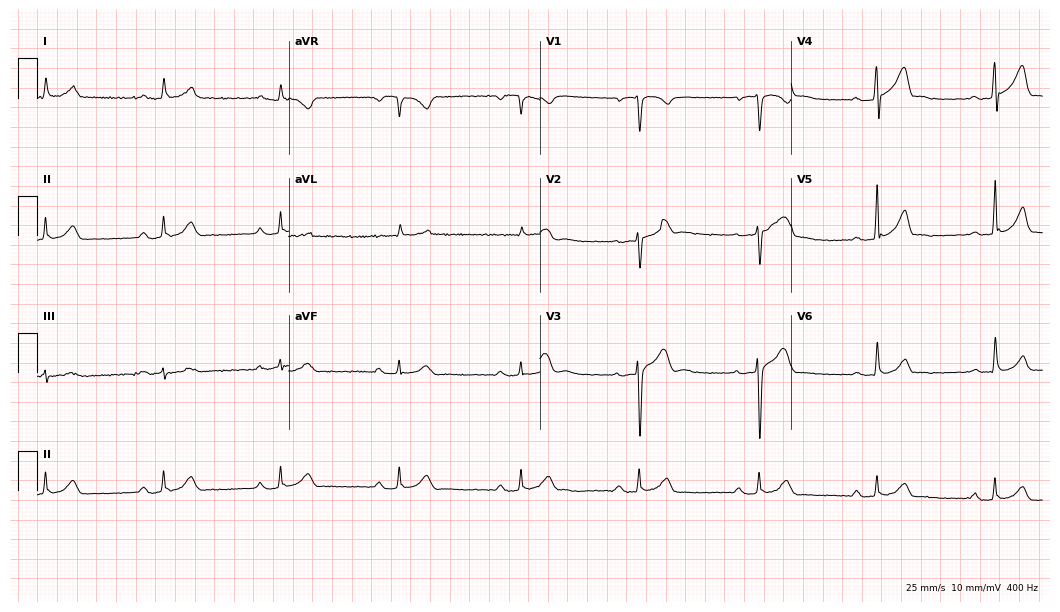
12-lead ECG (10.2-second recording at 400 Hz) from a male patient, 35 years old. Findings include first-degree AV block, right bundle branch block.